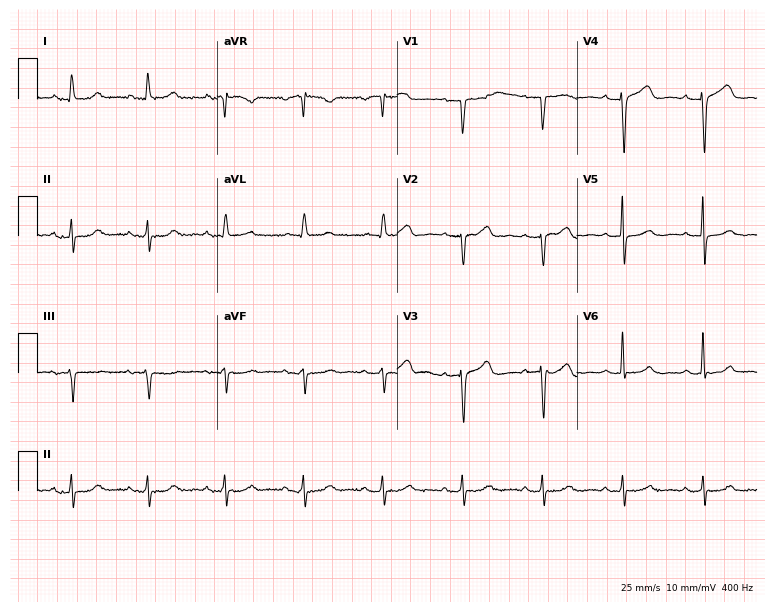
ECG (7.3-second recording at 400 Hz) — a female patient, 72 years old. Labelled as a normal ECG.